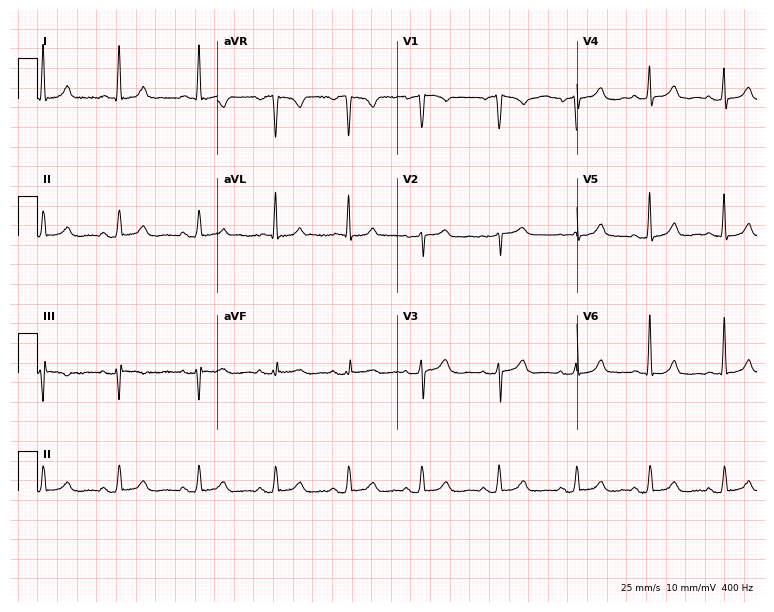
12-lead ECG from a female patient, 72 years old (7.3-second recording at 400 Hz). Recorded interpretation: within normal limits.